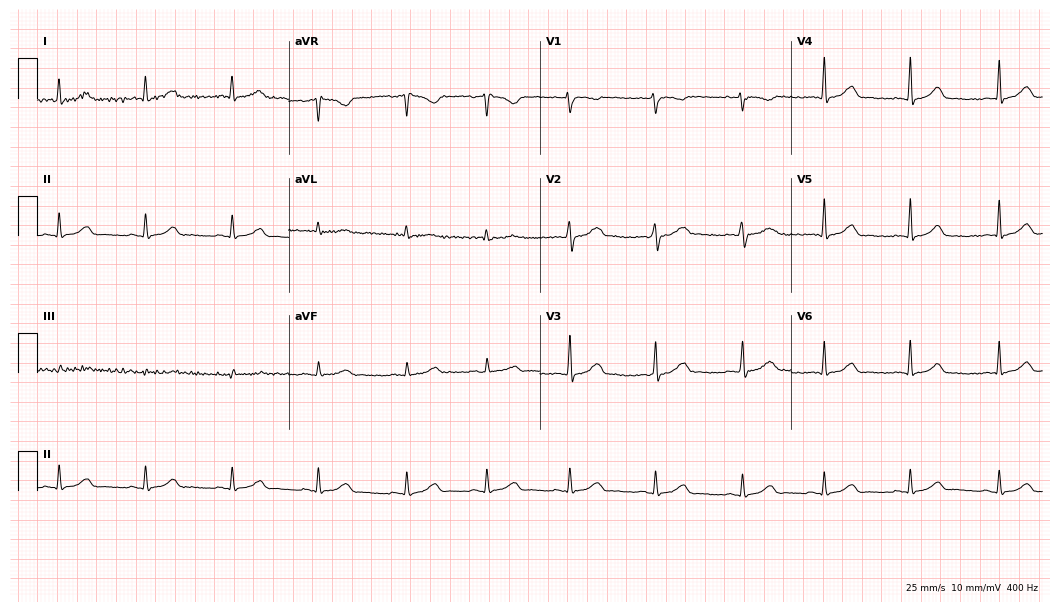
ECG — a 33-year-old man. Labelled as a normal ECG.